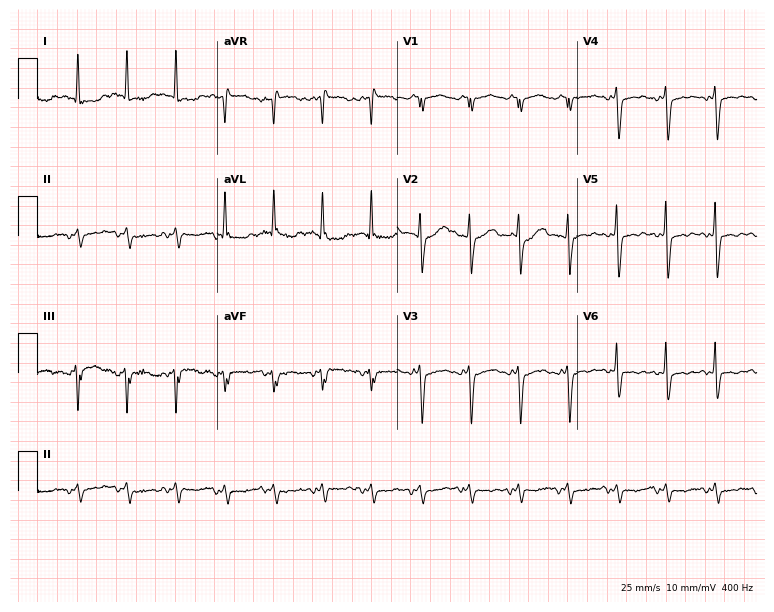
Electrocardiogram, a female, 79 years old. Interpretation includes sinus tachycardia (a sinus rate of 100 beats per minute or more).